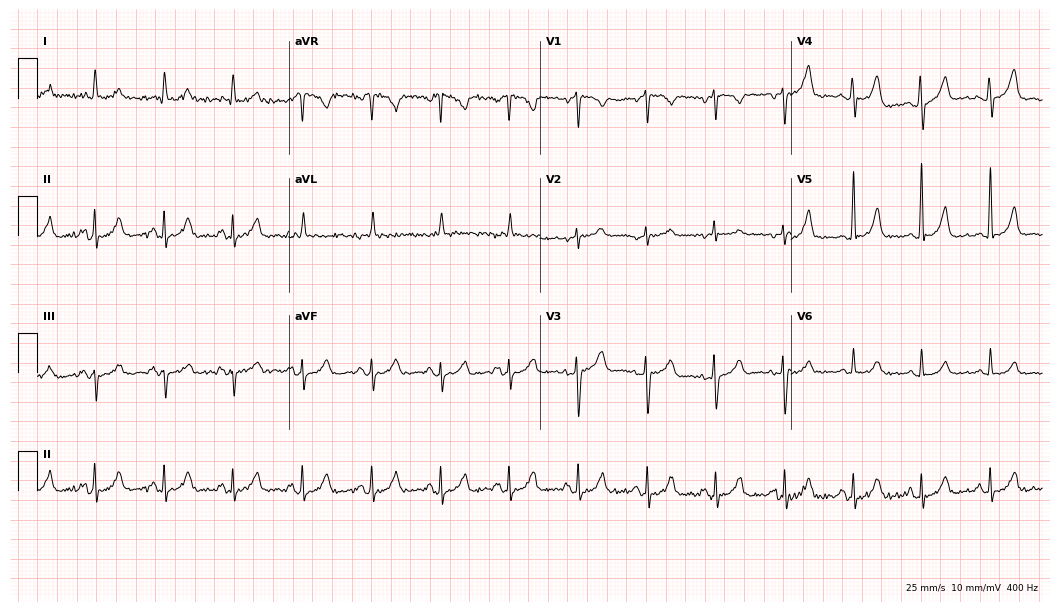
ECG (10.2-second recording at 400 Hz) — a female, 66 years old. Labelled as a normal ECG.